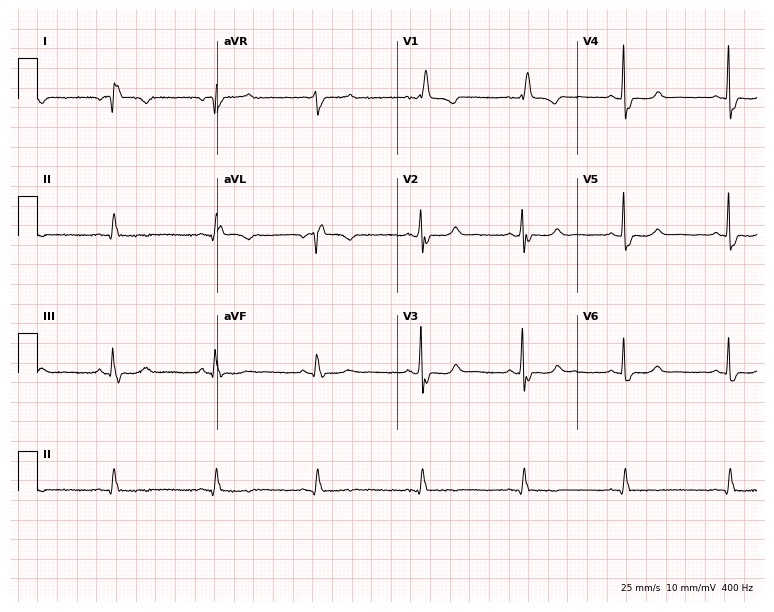
ECG (7.3-second recording at 400 Hz) — a 74-year-old female patient. Screened for six findings — first-degree AV block, right bundle branch block, left bundle branch block, sinus bradycardia, atrial fibrillation, sinus tachycardia — none is recorded. Findings outside these six are not listed.